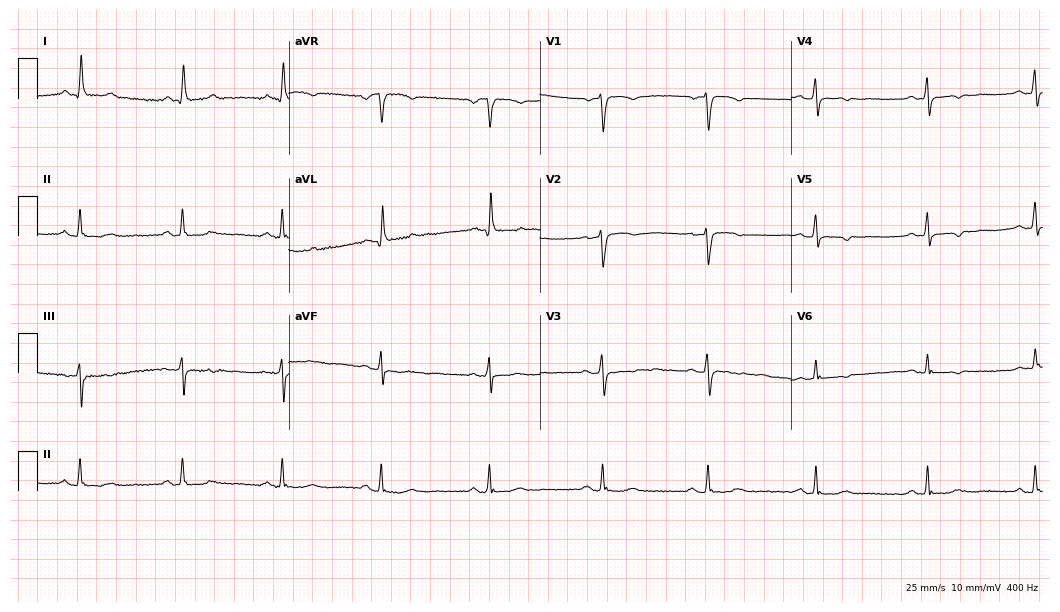
12-lead ECG (10.2-second recording at 400 Hz) from a female, 56 years old. Screened for six findings — first-degree AV block, right bundle branch block, left bundle branch block, sinus bradycardia, atrial fibrillation, sinus tachycardia — none is recorded. Other findings, if any, are not listed.